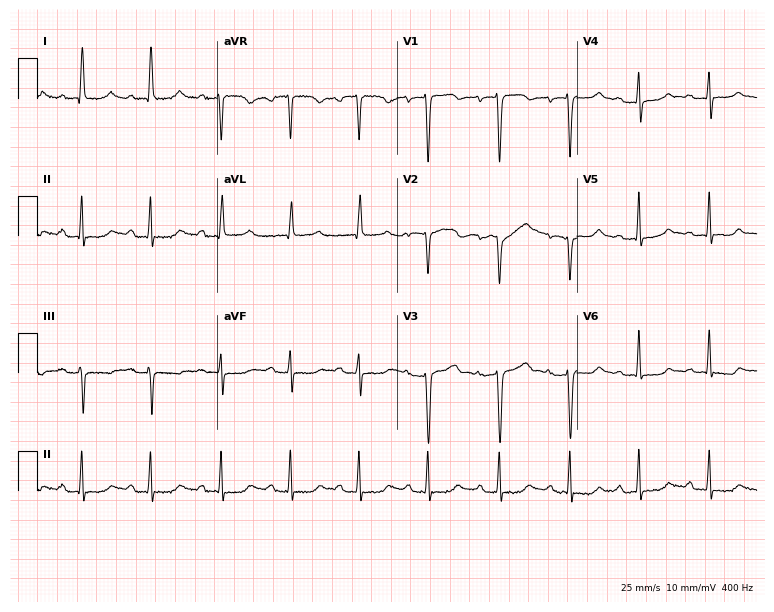
12-lead ECG from a 63-year-old woman. Screened for six findings — first-degree AV block, right bundle branch block, left bundle branch block, sinus bradycardia, atrial fibrillation, sinus tachycardia — none is recorded.